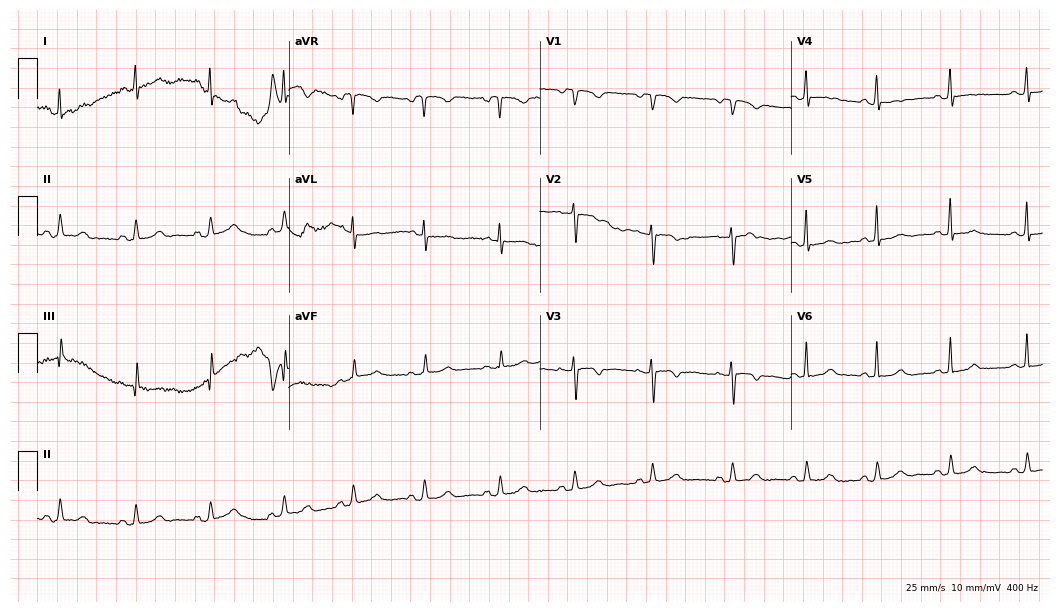
12-lead ECG from a female, 22 years old (10.2-second recording at 400 Hz). Recorded interpretation: within normal limits.